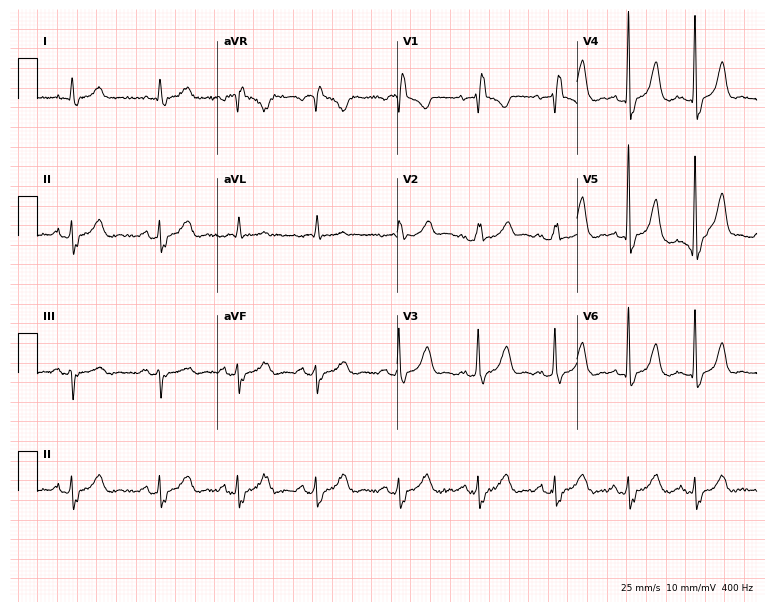
12-lead ECG from a 67-year-old female (7.3-second recording at 400 Hz). Shows right bundle branch block.